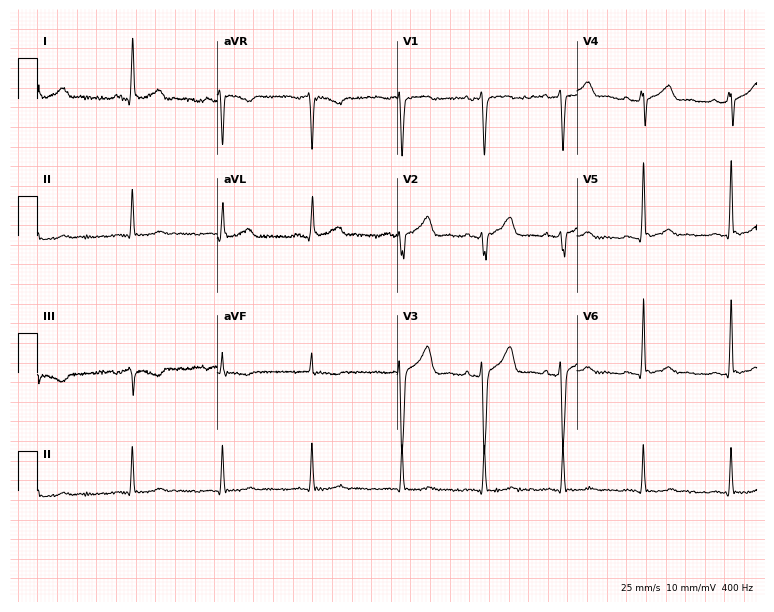
ECG — a 36-year-old male patient. Screened for six findings — first-degree AV block, right bundle branch block, left bundle branch block, sinus bradycardia, atrial fibrillation, sinus tachycardia — none is recorded.